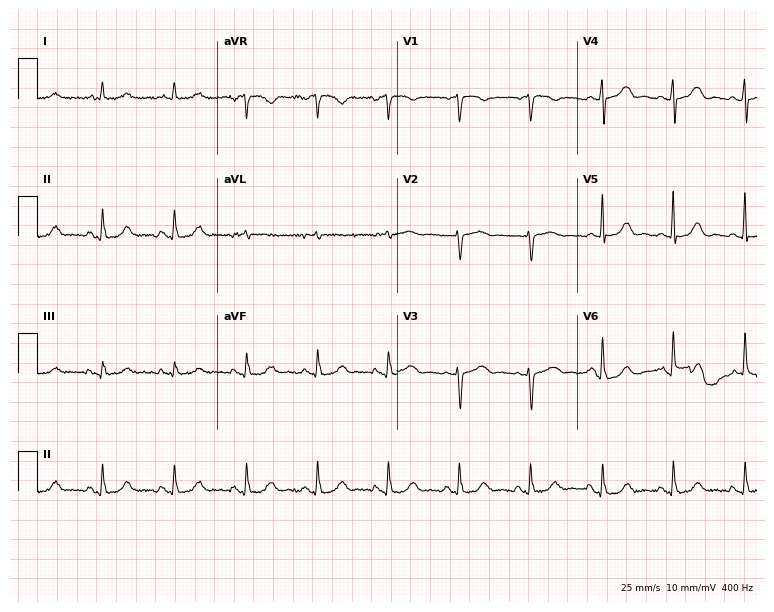
Resting 12-lead electrocardiogram (7.3-second recording at 400 Hz). Patient: a 76-year-old female. Read as a normal ECG.